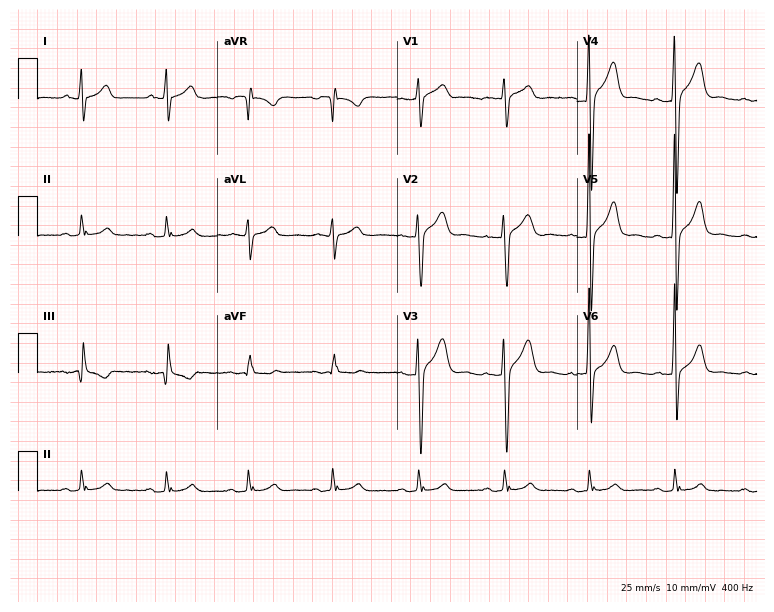
Electrocardiogram, a man, 49 years old. Overall reading on record: normal ECG.